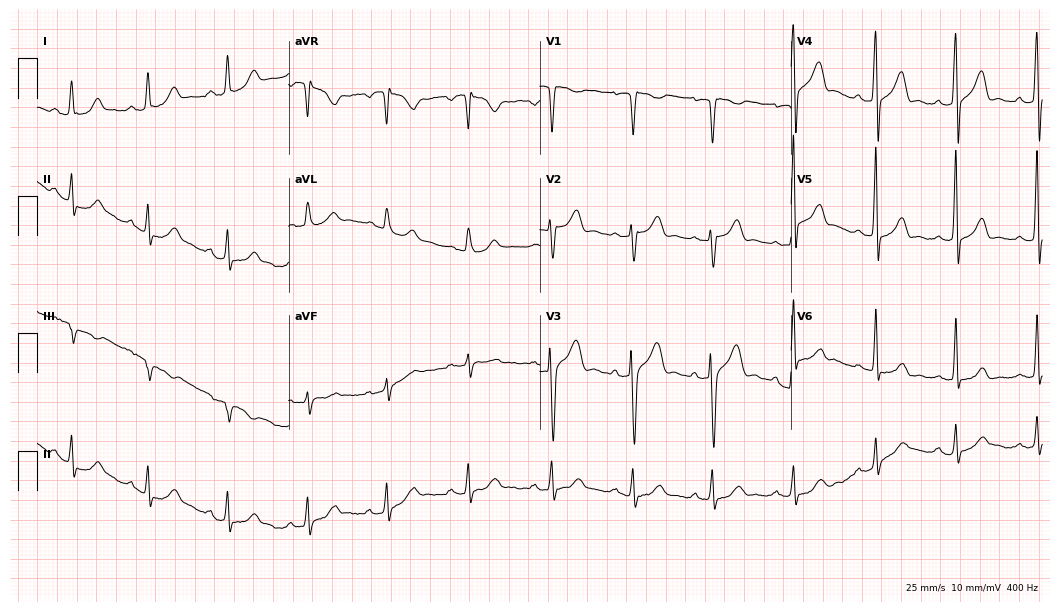
Electrocardiogram, a 25-year-old male. Overall reading on record: normal ECG.